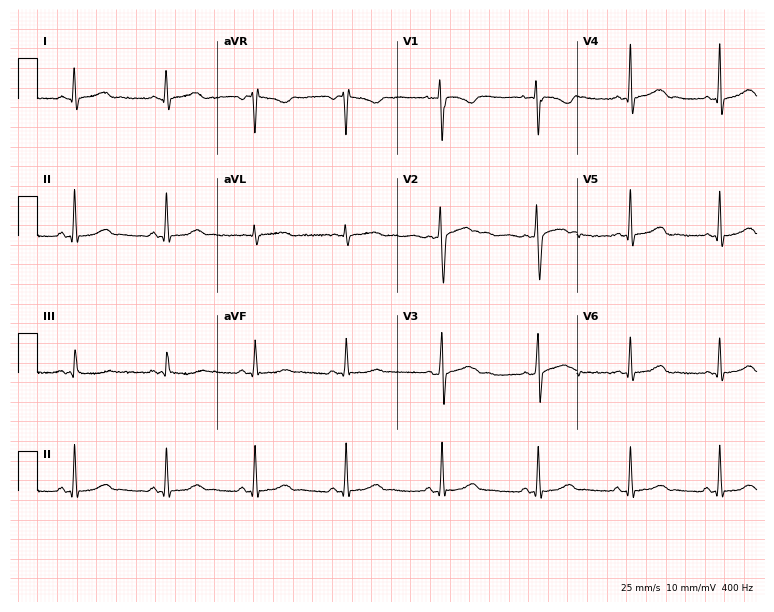
12-lead ECG from a female patient, 18 years old. Recorded interpretation: within normal limits.